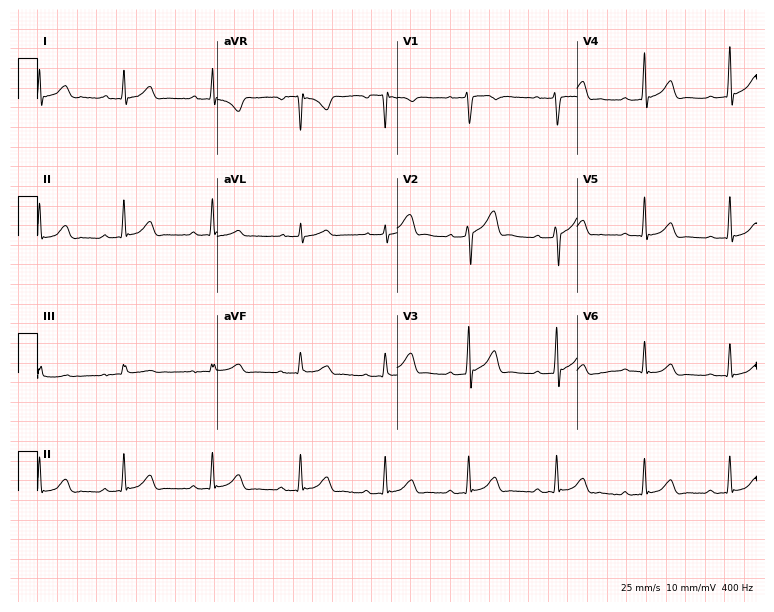
Standard 12-lead ECG recorded from a 22-year-old male patient. None of these six findings is recorded: first-degree AV block, right bundle branch block (RBBB), left bundle branch block (LBBB), sinus bradycardia, atrial fibrillation (AF), sinus tachycardia.